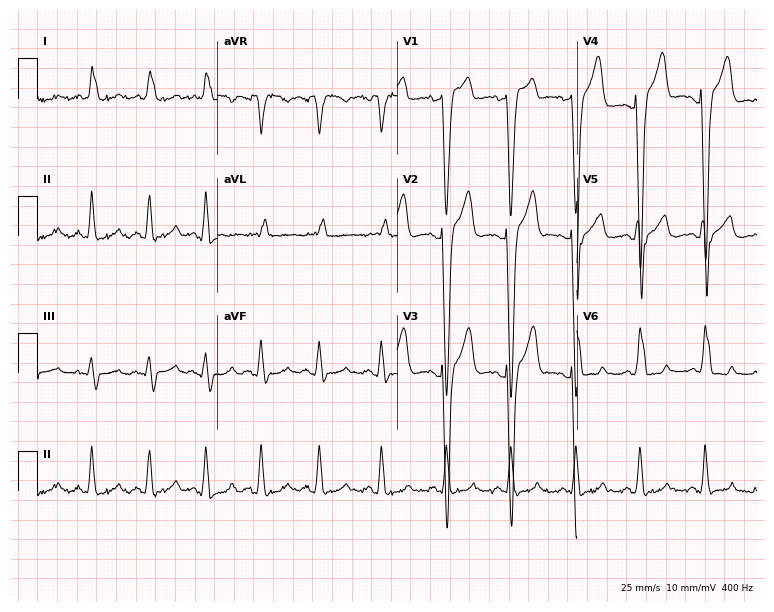
Resting 12-lead electrocardiogram (7.3-second recording at 400 Hz). Patient: a 48-year-old man. The tracing shows left bundle branch block.